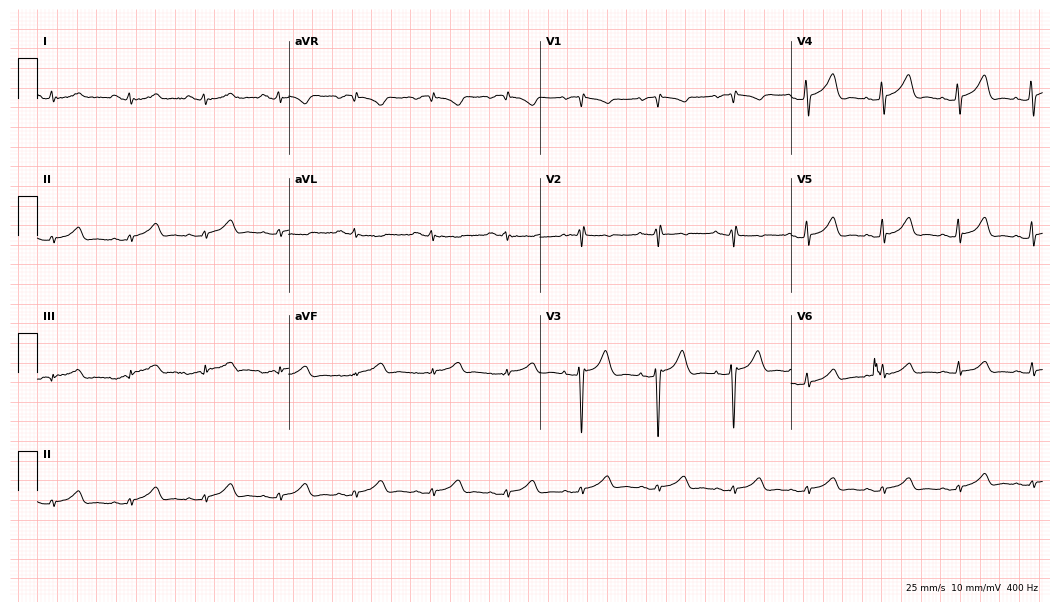
Resting 12-lead electrocardiogram. Patient: a 36-year-old woman. None of these six findings is recorded: first-degree AV block, right bundle branch block, left bundle branch block, sinus bradycardia, atrial fibrillation, sinus tachycardia.